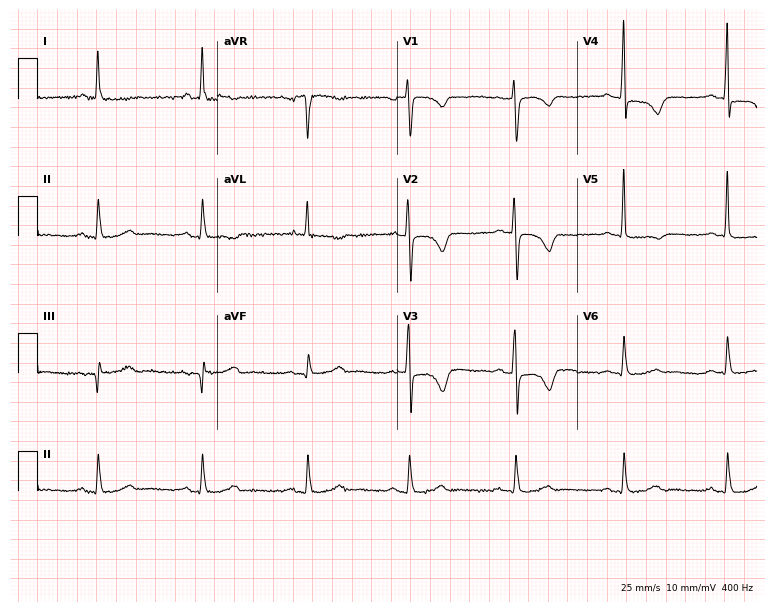
ECG (7.3-second recording at 400 Hz) — a 72-year-old female. Screened for six findings — first-degree AV block, right bundle branch block (RBBB), left bundle branch block (LBBB), sinus bradycardia, atrial fibrillation (AF), sinus tachycardia — none is recorded.